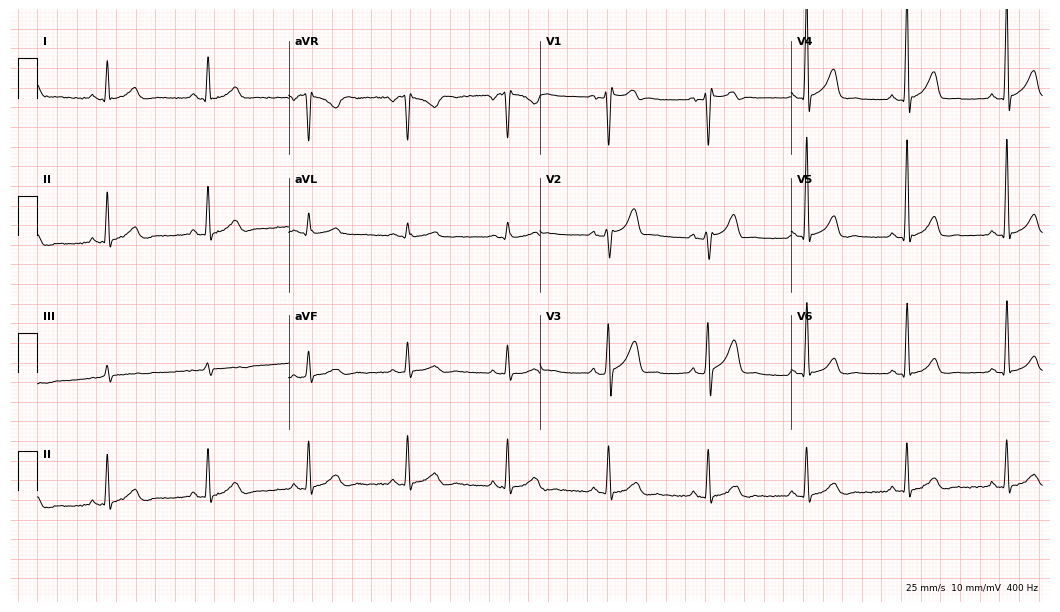
Standard 12-lead ECG recorded from a 45-year-old male patient (10.2-second recording at 400 Hz). None of these six findings is recorded: first-degree AV block, right bundle branch block, left bundle branch block, sinus bradycardia, atrial fibrillation, sinus tachycardia. Other findings, if any, are not listed.